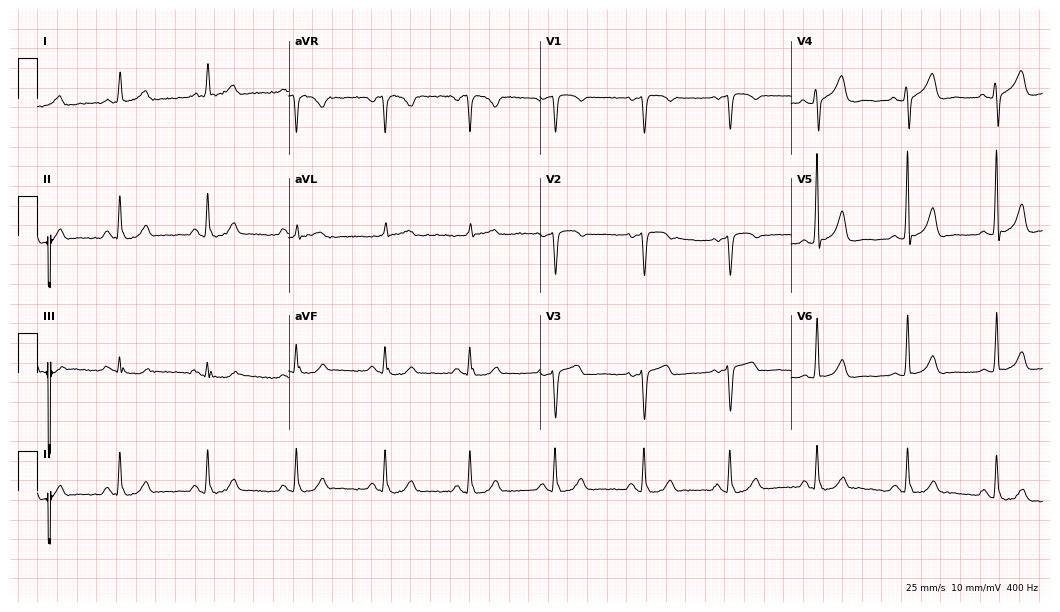
Standard 12-lead ECG recorded from a 50-year-old female. None of these six findings is recorded: first-degree AV block, right bundle branch block, left bundle branch block, sinus bradycardia, atrial fibrillation, sinus tachycardia. Other findings, if any, are not listed.